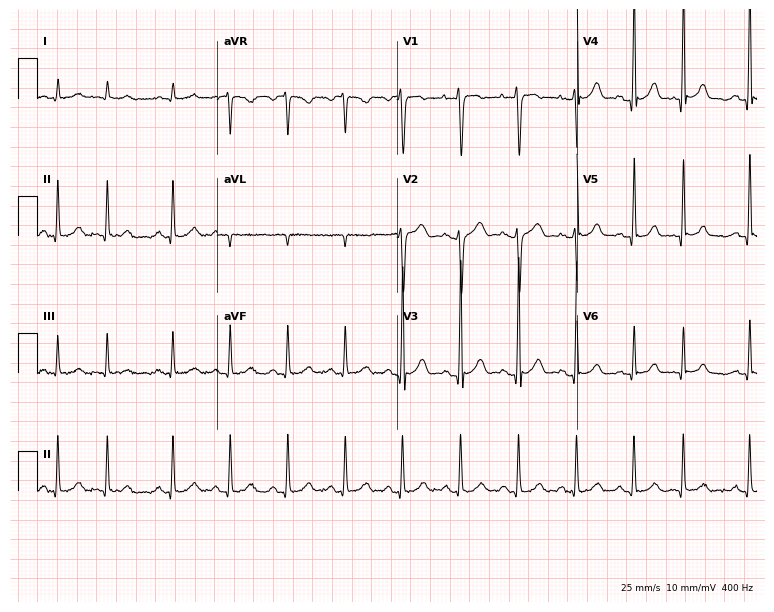
ECG (7.3-second recording at 400 Hz) — a man, 48 years old. Screened for six findings — first-degree AV block, right bundle branch block (RBBB), left bundle branch block (LBBB), sinus bradycardia, atrial fibrillation (AF), sinus tachycardia — none is recorded.